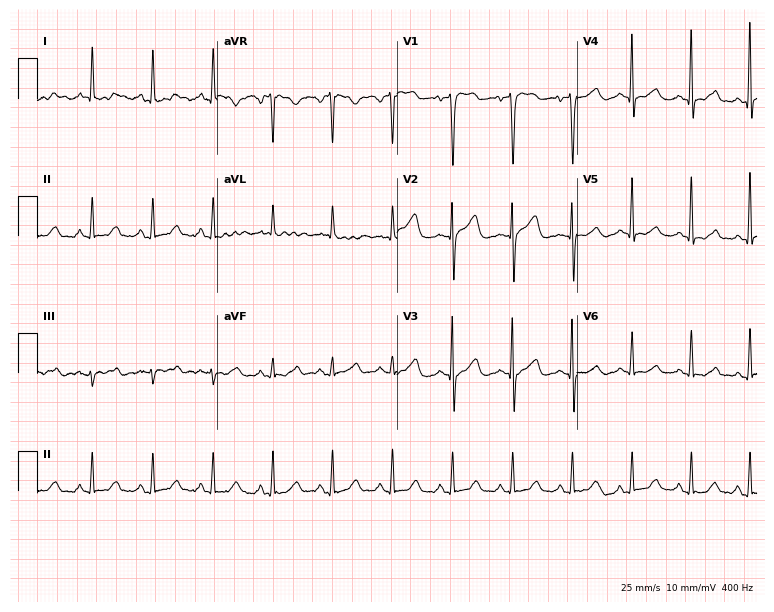
ECG — a female, 66 years old. Screened for six findings — first-degree AV block, right bundle branch block (RBBB), left bundle branch block (LBBB), sinus bradycardia, atrial fibrillation (AF), sinus tachycardia — none is recorded.